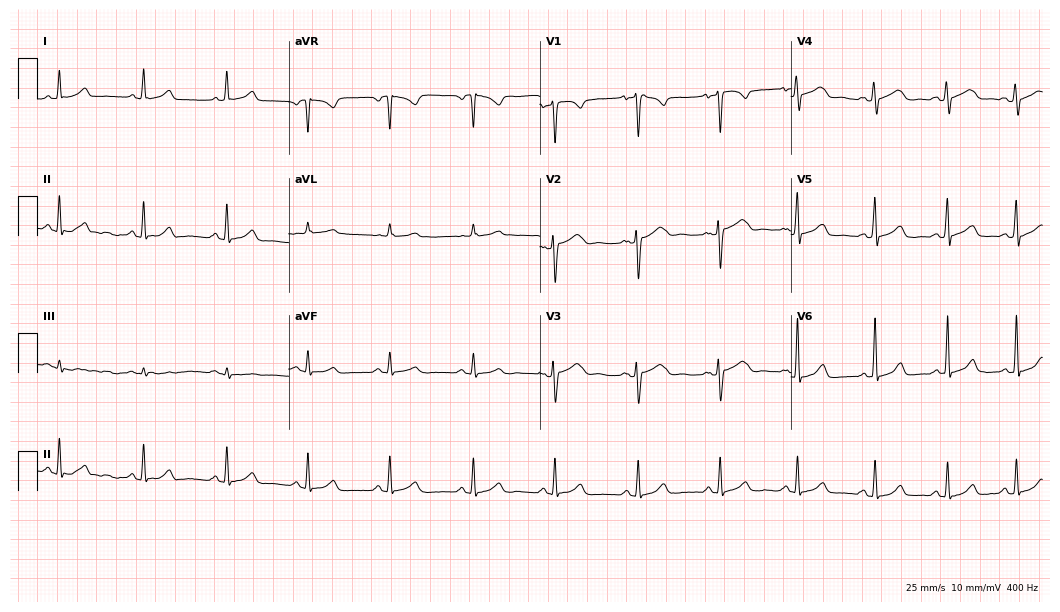
ECG (10.2-second recording at 400 Hz) — a female, 37 years old. Labelled as a normal ECG.